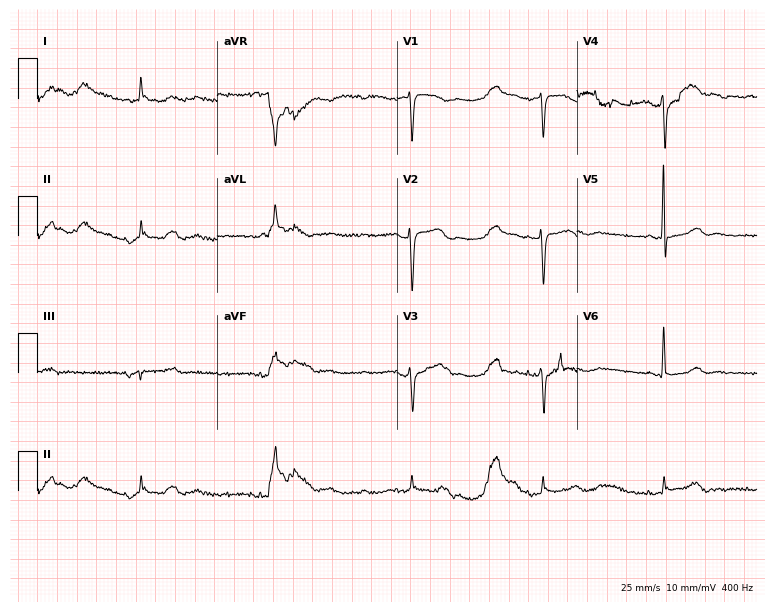
12-lead ECG from a 46-year-old female (7.3-second recording at 400 Hz). No first-degree AV block, right bundle branch block (RBBB), left bundle branch block (LBBB), sinus bradycardia, atrial fibrillation (AF) or sinus tachycardia recorded for this tracing. Findings outside these six are not listed.